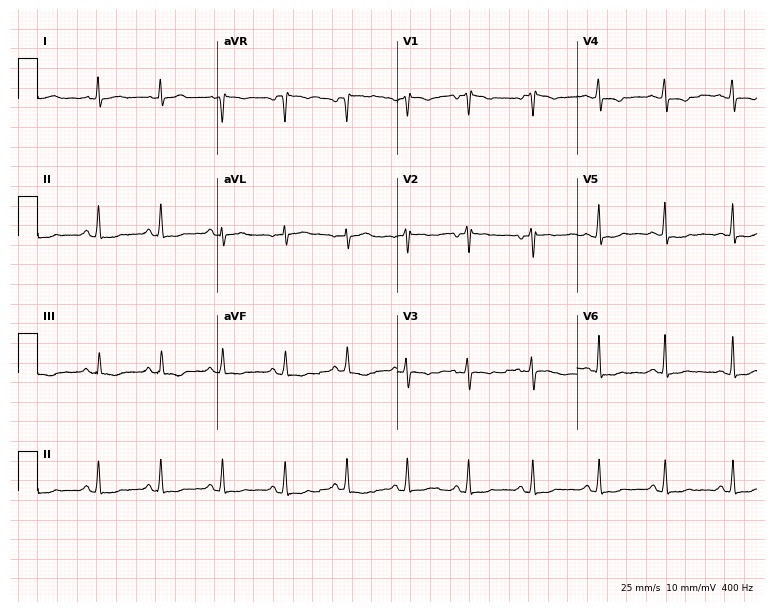
Standard 12-lead ECG recorded from a 33-year-old female. None of these six findings is recorded: first-degree AV block, right bundle branch block, left bundle branch block, sinus bradycardia, atrial fibrillation, sinus tachycardia. Only these six findings were labelled.